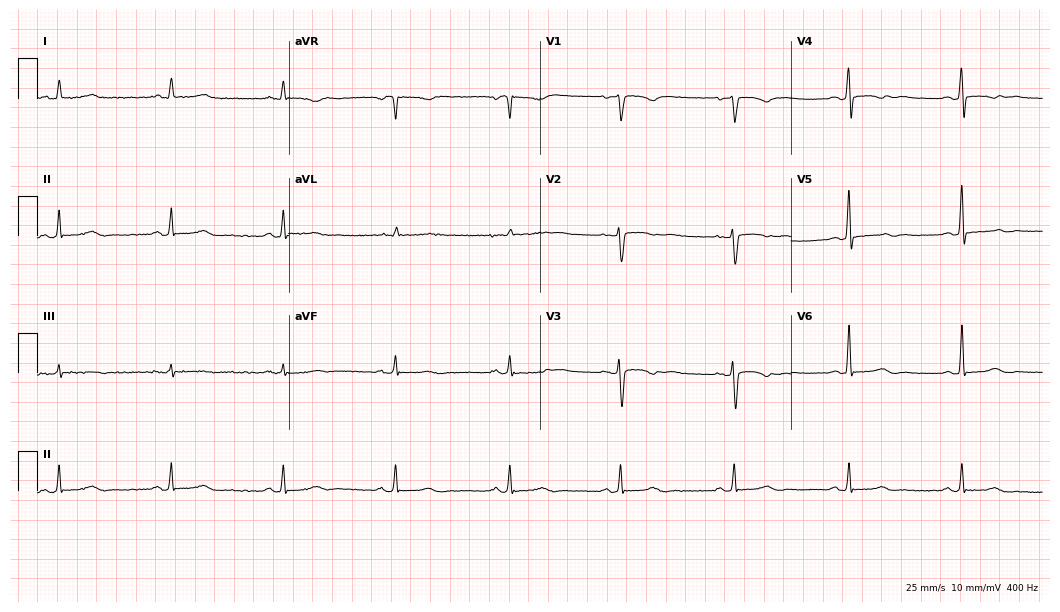
Standard 12-lead ECG recorded from a 58-year-old female (10.2-second recording at 400 Hz). None of these six findings is recorded: first-degree AV block, right bundle branch block, left bundle branch block, sinus bradycardia, atrial fibrillation, sinus tachycardia. Findings outside these six are not listed.